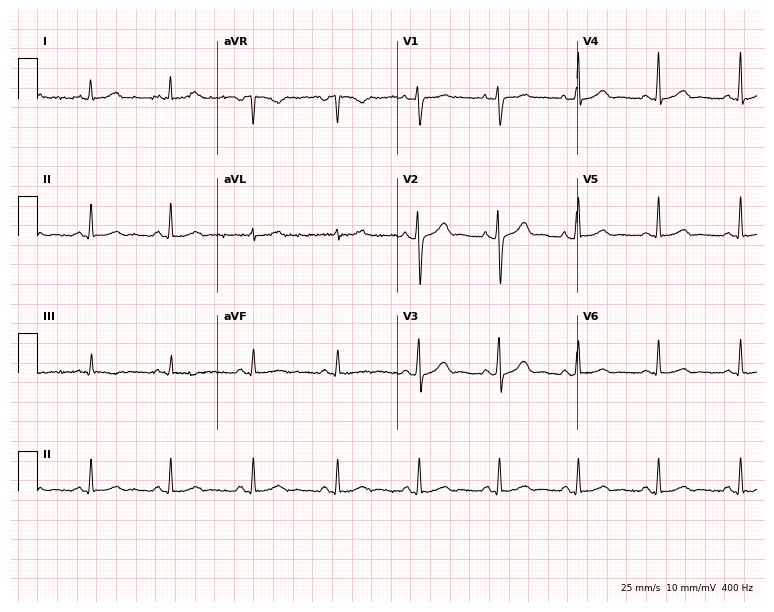
12-lead ECG (7.3-second recording at 400 Hz) from a female patient, 45 years old. Screened for six findings — first-degree AV block, right bundle branch block (RBBB), left bundle branch block (LBBB), sinus bradycardia, atrial fibrillation (AF), sinus tachycardia — none is recorded. Other findings, if any, are not listed.